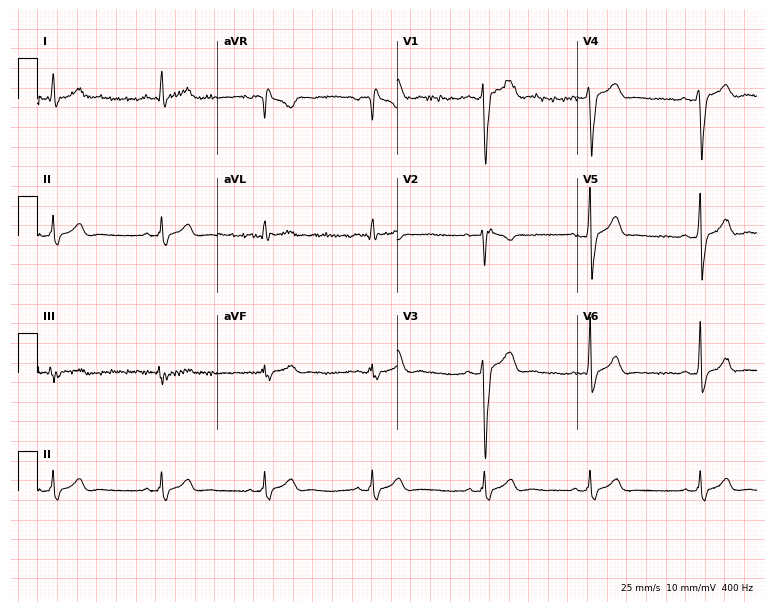
12-lead ECG from a male patient, 31 years old. Screened for six findings — first-degree AV block, right bundle branch block, left bundle branch block, sinus bradycardia, atrial fibrillation, sinus tachycardia — none is recorded. Only these six findings were labelled.